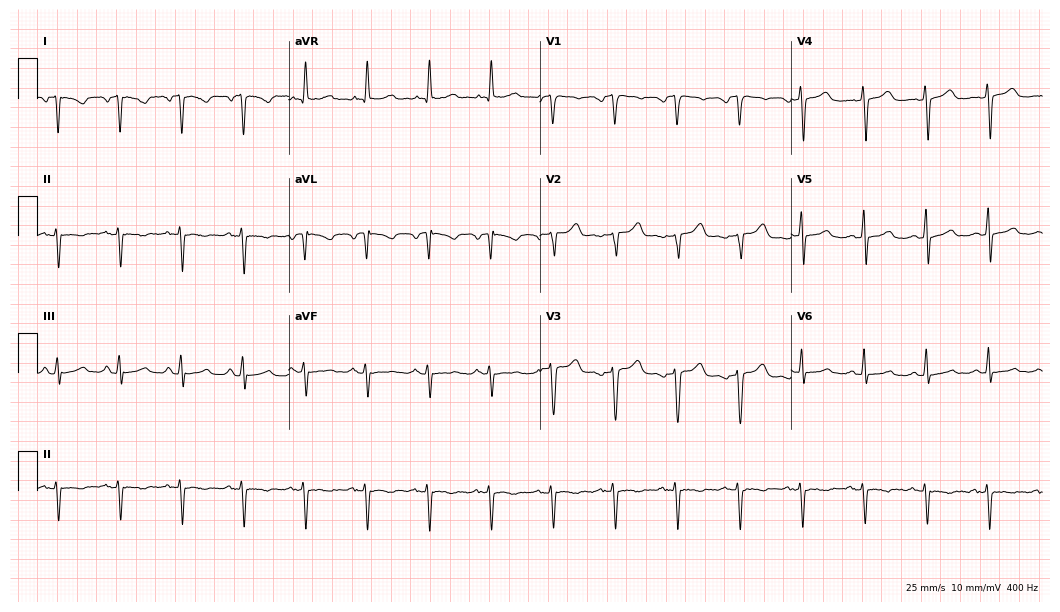
12-lead ECG (10.2-second recording at 400 Hz) from a 58-year-old female patient. Screened for six findings — first-degree AV block, right bundle branch block, left bundle branch block, sinus bradycardia, atrial fibrillation, sinus tachycardia — none is recorded. Only these six findings were labelled.